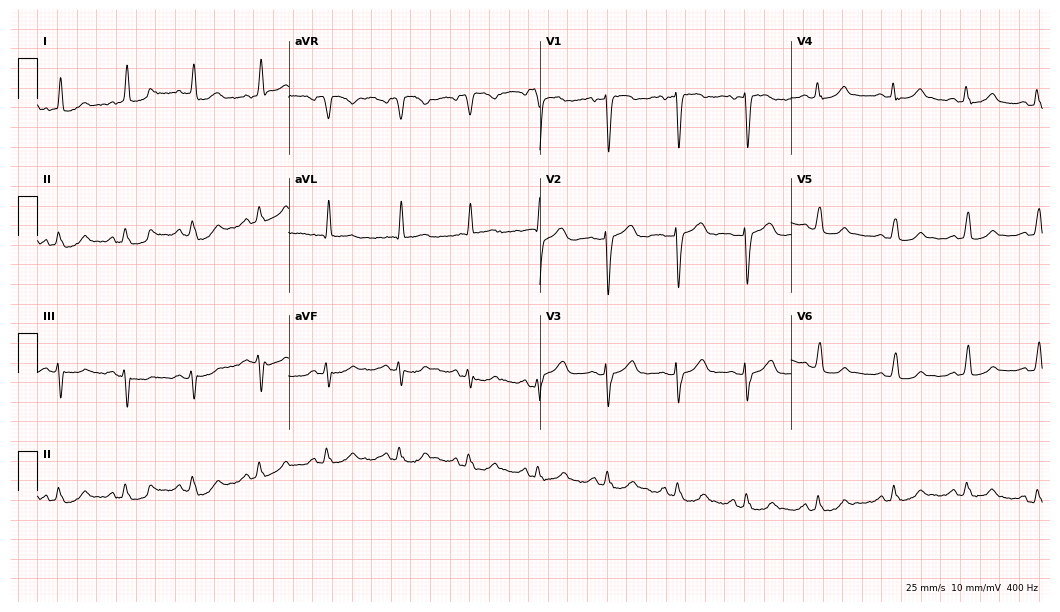
Electrocardiogram, a 65-year-old female. Overall reading on record: normal ECG.